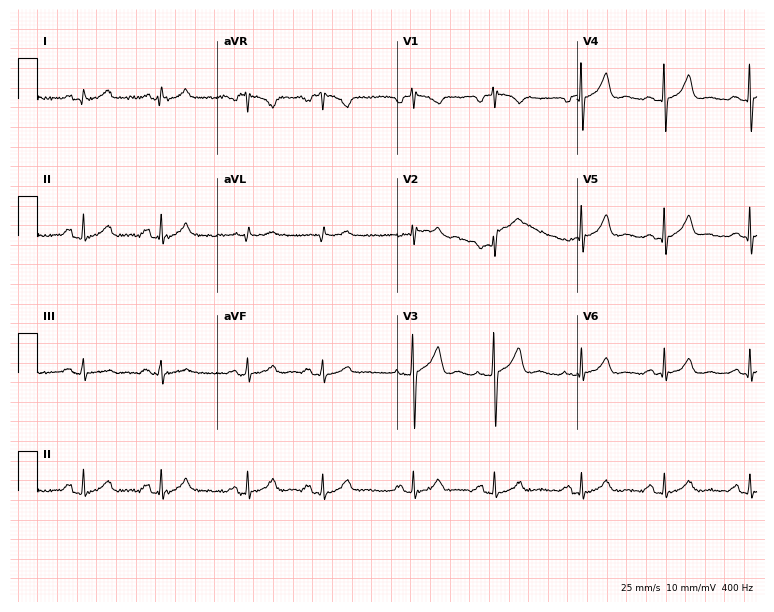
ECG — a 48-year-old woman. Labelled as a normal ECG.